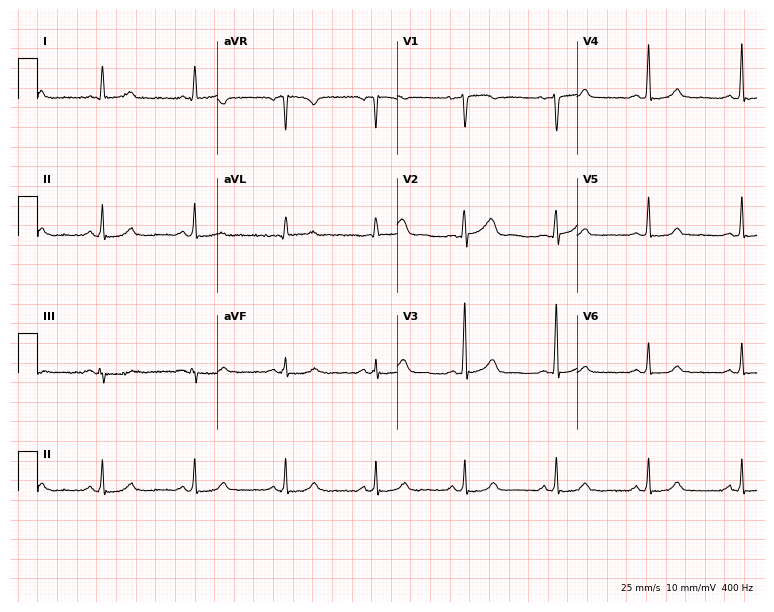
12-lead ECG from a woman, 54 years old. Labelled as a normal ECG.